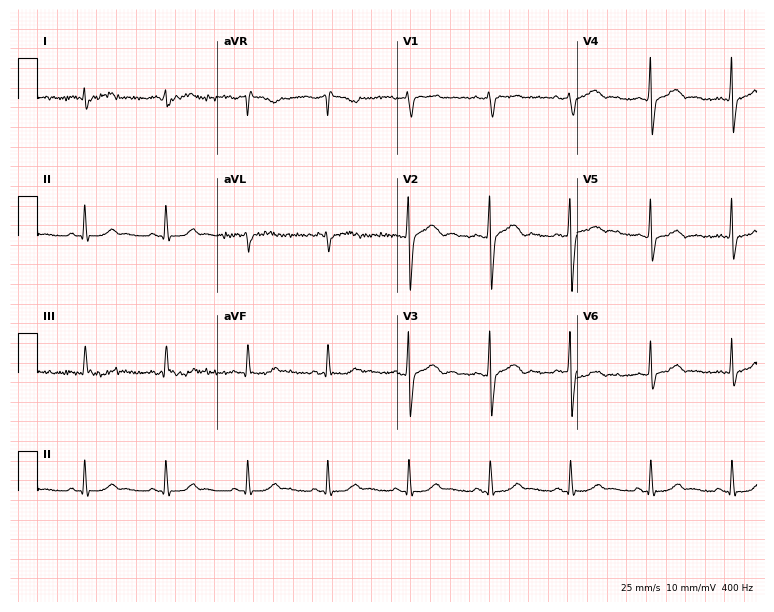
Standard 12-lead ECG recorded from a male patient, 48 years old. Read as a normal ECG.